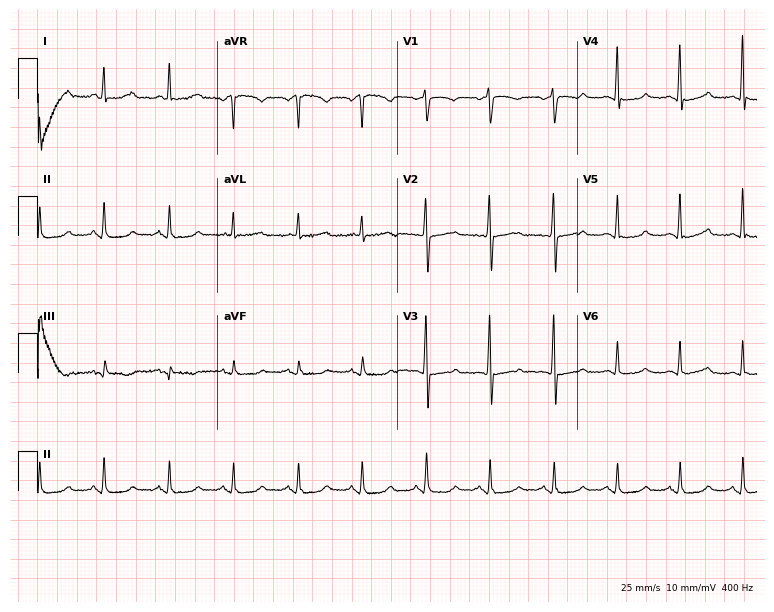
ECG (7.3-second recording at 400 Hz) — a 70-year-old female. Screened for six findings — first-degree AV block, right bundle branch block, left bundle branch block, sinus bradycardia, atrial fibrillation, sinus tachycardia — none is recorded.